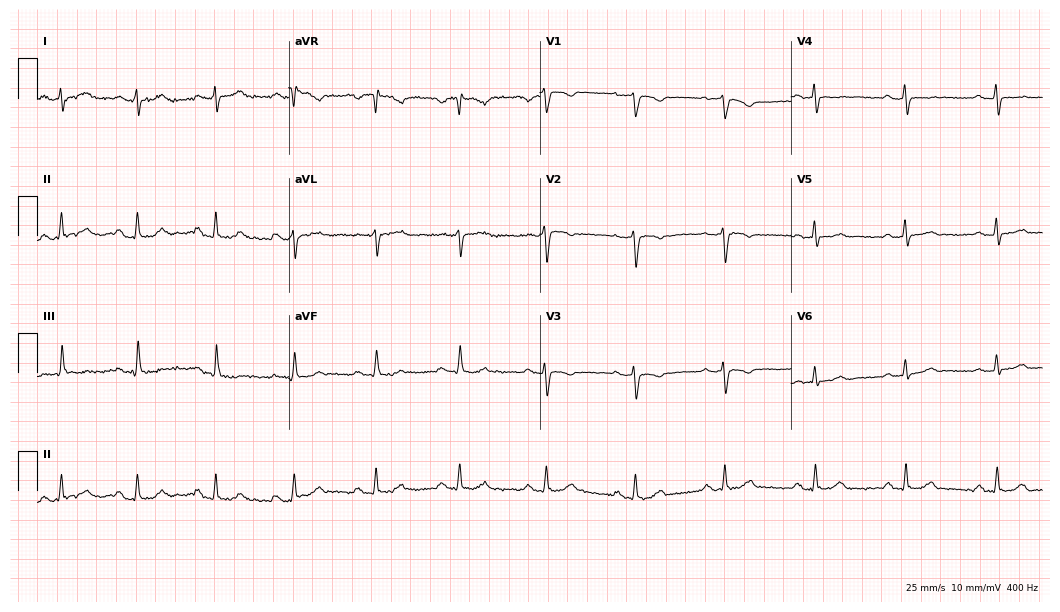
12-lead ECG (10.2-second recording at 400 Hz) from a 35-year-old woman. Labelled as a normal ECG.